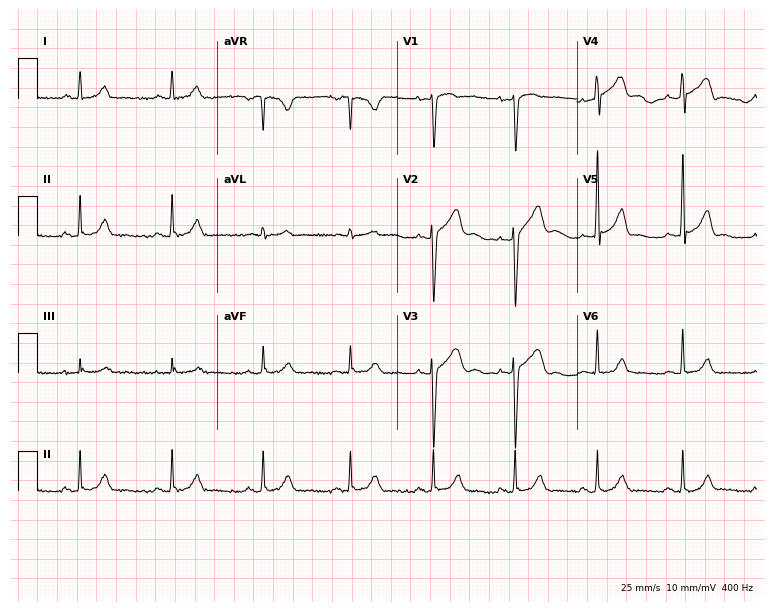
12-lead ECG from a male, 46 years old. Screened for six findings — first-degree AV block, right bundle branch block, left bundle branch block, sinus bradycardia, atrial fibrillation, sinus tachycardia — none is recorded. Only these six findings were labelled.